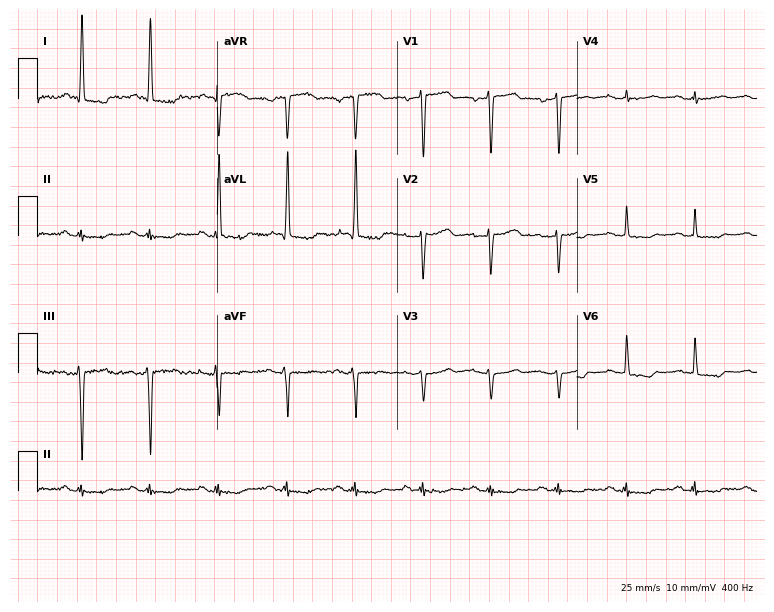
Standard 12-lead ECG recorded from a female patient, 76 years old. None of these six findings is recorded: first-degree AV block, right bundle branch block, left bundle branch block, sinus bradycardia, atrial fibrillation, sinus tachycardia. Other findings, if any, are not listed.